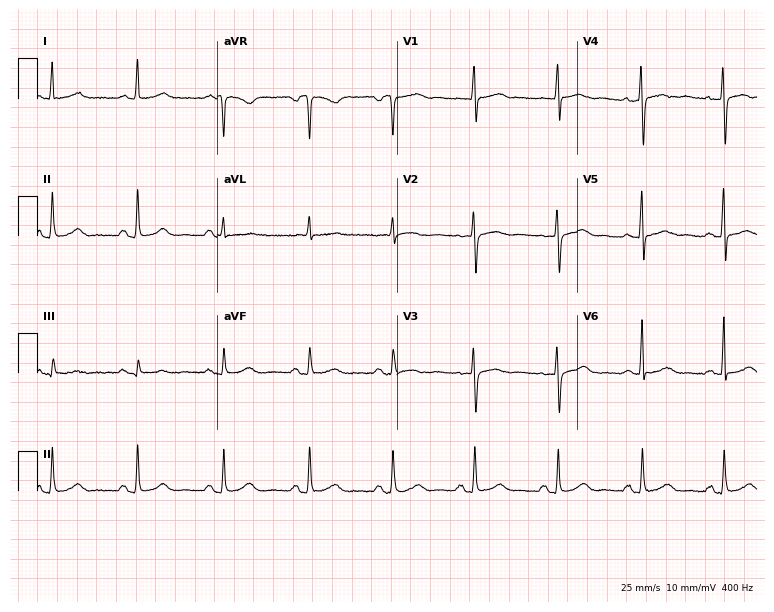
ECG — a 55-year-old woman. Screened for six findings — first-degree AV block, right bundle branch block (RBBB), left bundle branch block (LBBB), sinus bradycardia, atrial fibrillation (AF), sinus tachycardia — none is recorded.